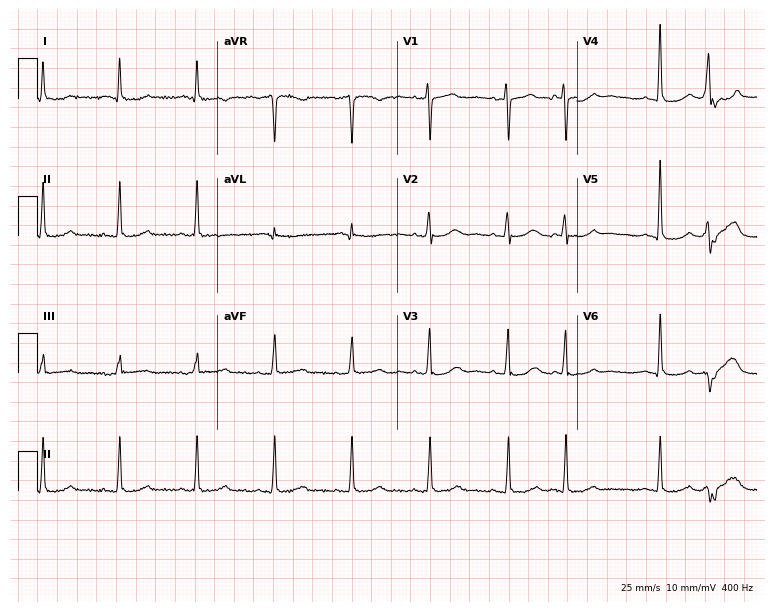
12-lead ECG from an 80-year-old female. Screened for six findings — first-degree AV block, right bundle branch block, left bundle branch block, sinus bradycardia, atrial fibrillation, sinus tachycardia — none is recorded.